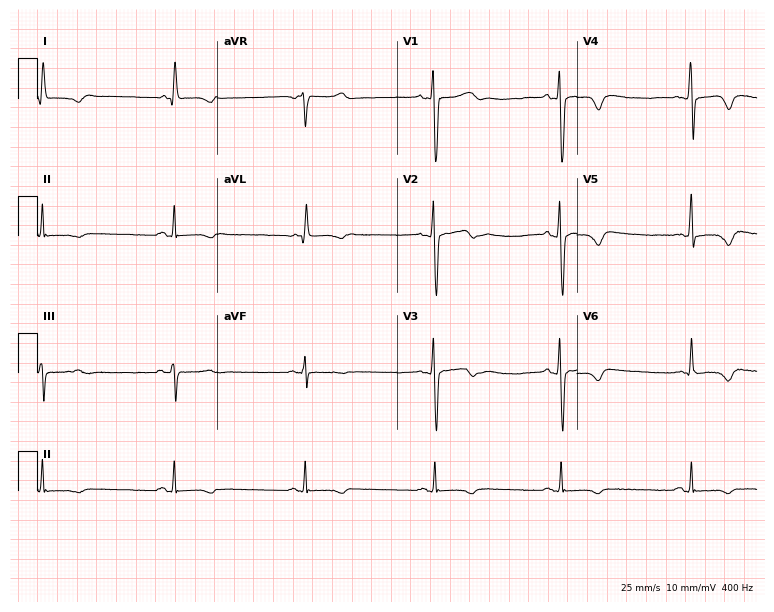
12-lead ECG (7.3-second recording at 400 Hz) from a man, 65 years old. Findings include sinus bradycardia (a sinus rate of 50 beats per minute or less).